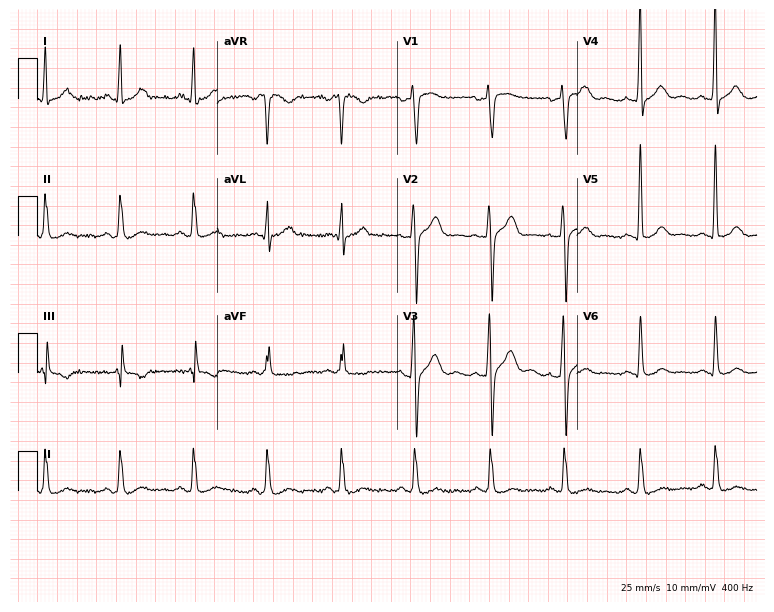
12-lead ECG from a 47-year-old male (7.3-second recording at 400 Hz). Recorded interpretation: within normal limits.